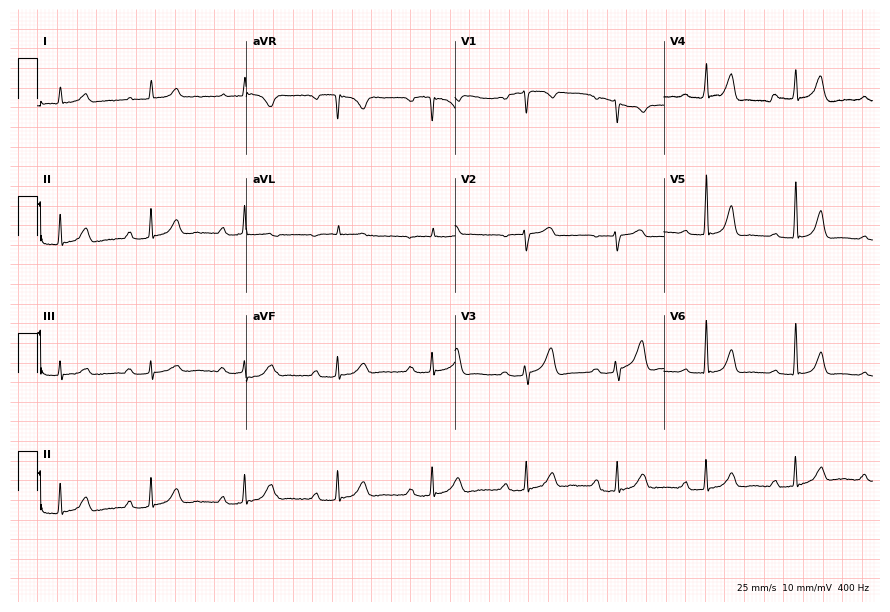
Resting 12-lead electrocardiogram (8.5-second recording at 400 Hz). Patient: a female, 68 years old. None of these six findings is recorded: first-degree AV block, right bundle branch block, left bundle branch block, sinus bradycardia, atrial fibrillation, sinus tachycardia.